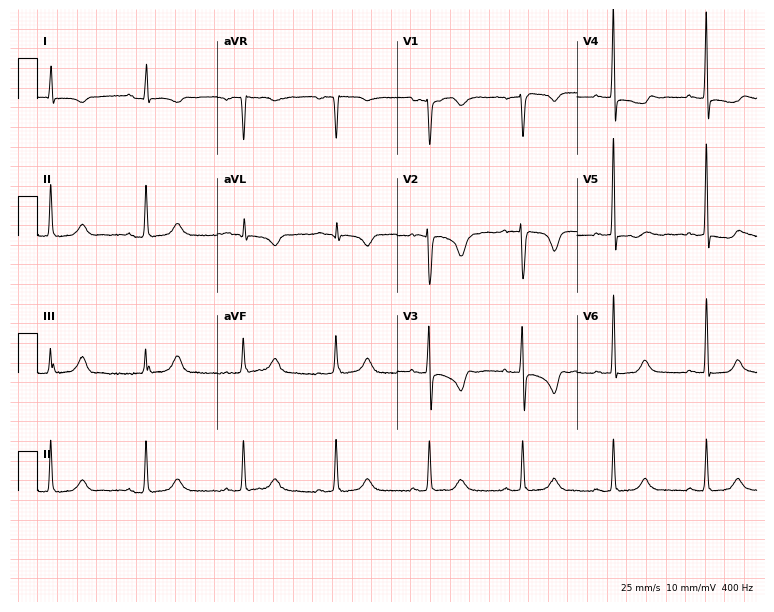
12-lead ECG from a female patient, 58 years old. No first-degree AV block, right bundle branch block, left bundle branch block, sinus bradycardia, atrial fibrillation or sinus tachycardia recorded for this tracing. Only these six findings were labelled.